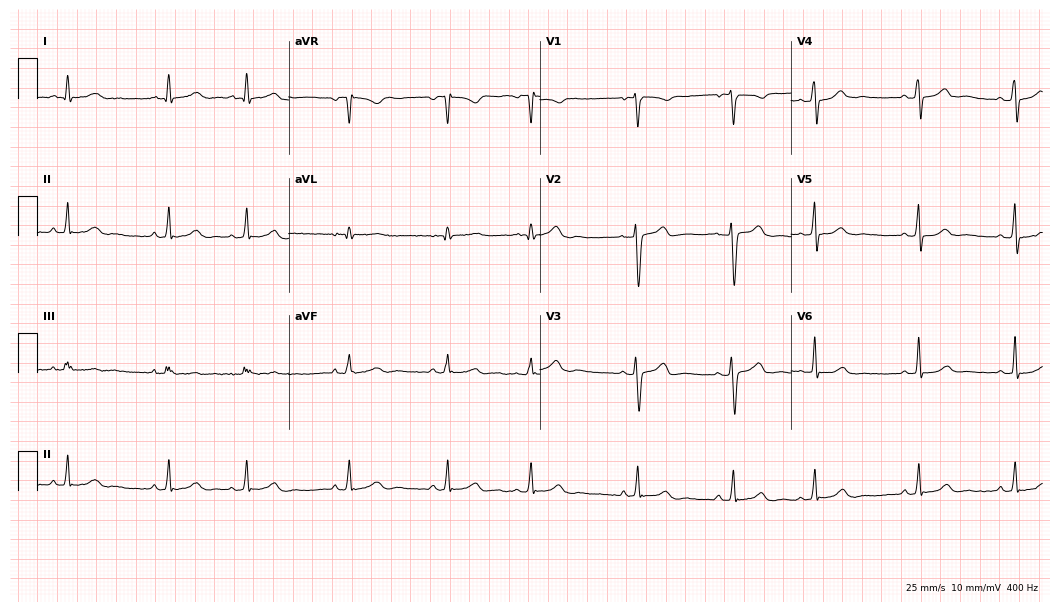
ECG — a female patient, 18 years old. Screened for six findings — first-degree AV block, right bundle branch block, left bundle branch block, sinus bradycardia, atrial fibrillation, sinus tachycardia — none is recorded. Only these six findings were labelled.